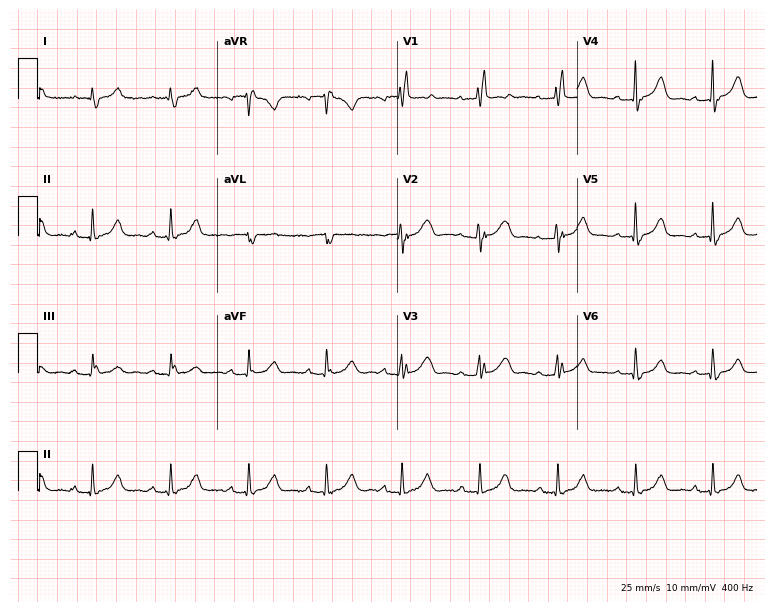
12-lead ECG from a female, 68 years old. No first-degree AV block, right bundle branch block, left bundle branch block, sinus bradycardia, atrial fibrillation or sinus tachycardia recorded for this tracing. Findings outside these six are not listed.